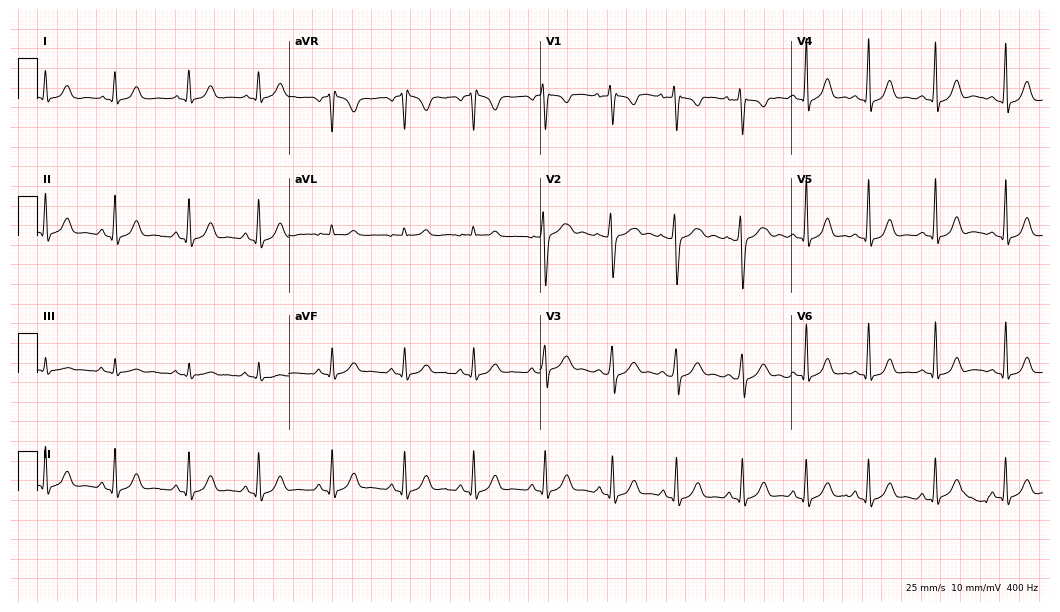
ECG — a female, 17 years old. Labelled as a normal ECG.